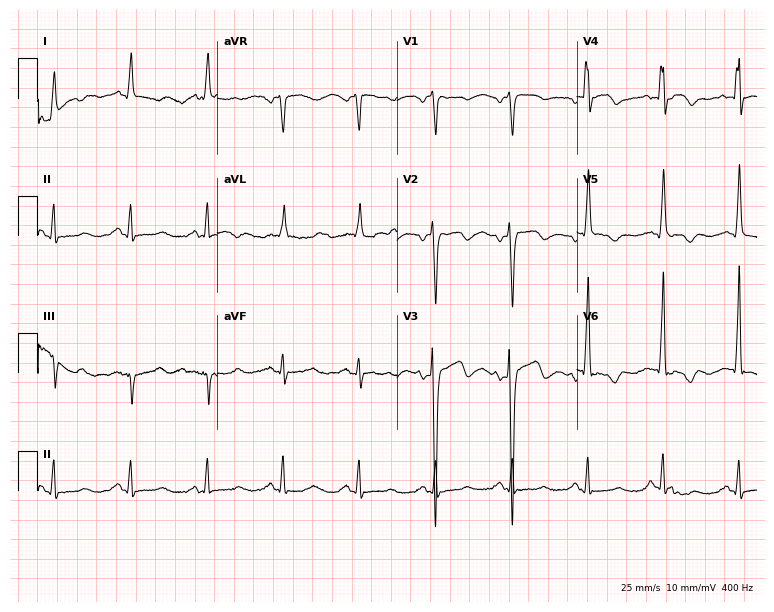
Electrocardiogram, a 72-year-old man. Of the six screened findings (first-degree AV block, right bundle branch block, left bundle branch block, sinus bradycardia, atrial fibrillation, sinus tachycardia), none is recorded.